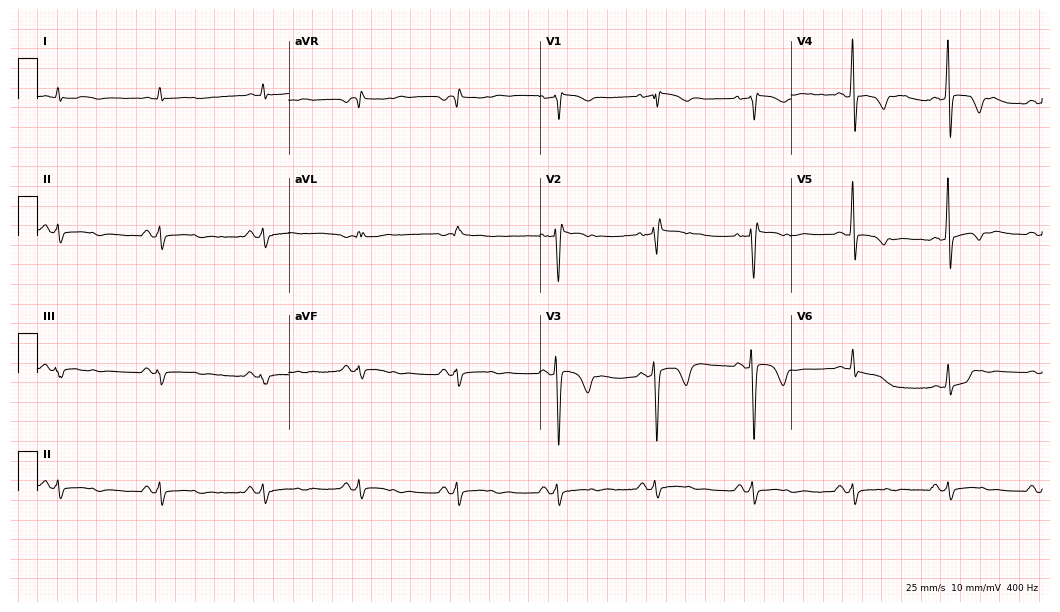
12-lead ECG from an 80-year-old woman (10.2-second recording at 400 Hz). No first-degree AV block, right bundle branch block, left bundle branch block, sinus bradycardia, atrial fibrillation or sinus tachycardia recorded for this tracing.